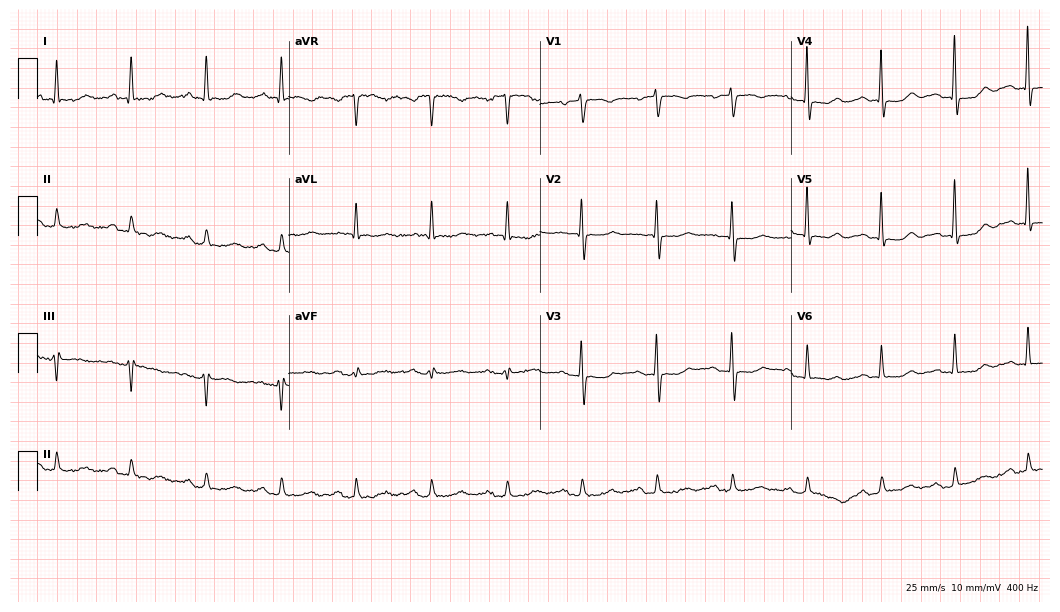
ECG (10.2-second recording at 400 Hz) — a woman, 68 years old. Screened for six findings — first-degree AV block, right bundle branch block, left bundle branch block, sinus bradycardia, atrial fibrillation, sinus tachycardia — none is recorded. Other findings, if any, are not listed.